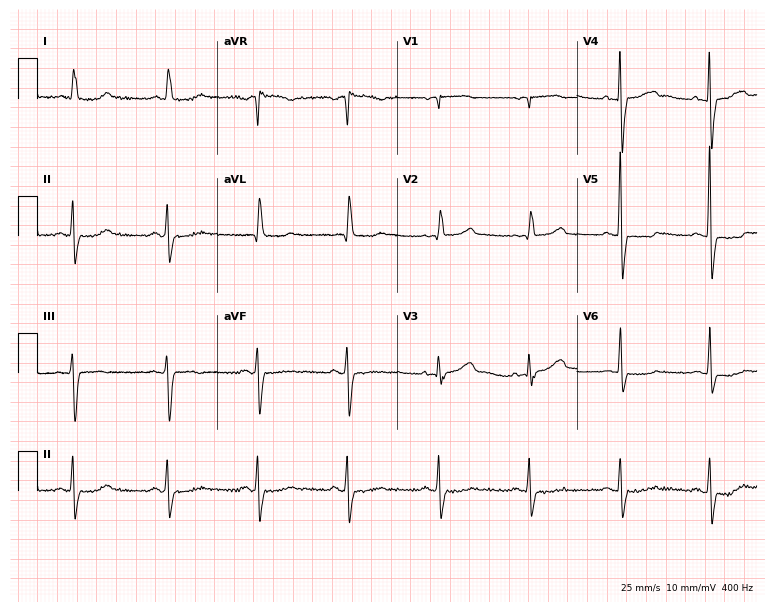
Standard 12-lead ECG recorded from a female patient, 75 years old (7.3-second recording at 400 Hz). None of these six findings is recorded: first-degree AV block, right bundle branch block, left bundle branch block, sinus bradycardia, atrial fibrillation, sinus tachycardia. Other findings, if any, are not listed.